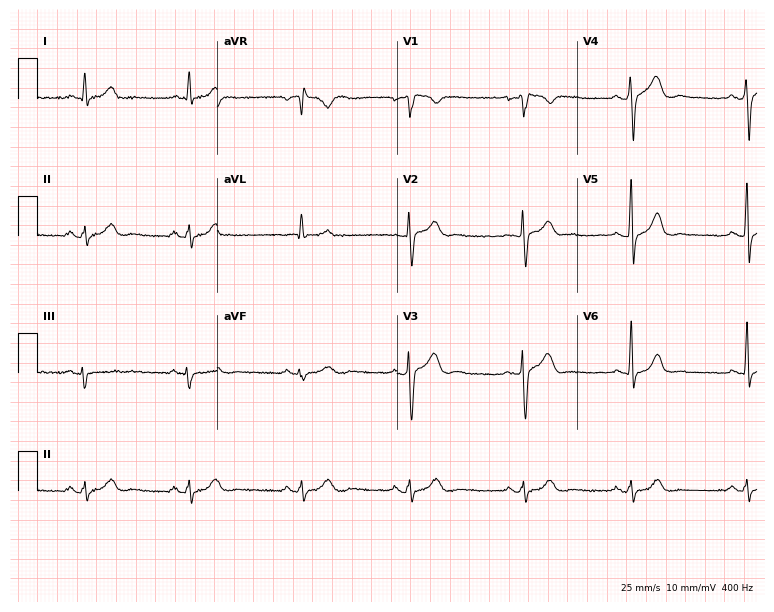
12-lead ECG (7.3-second recording at 400 Hz) from a 33-year-old man. Screened for six findings — first-degree AV block, right bundle branch block, left bundle branch block, sinus bradycardia, atrial fibrillation, sinus tachycardia — none is recorded. Findings outside these six are not listed.